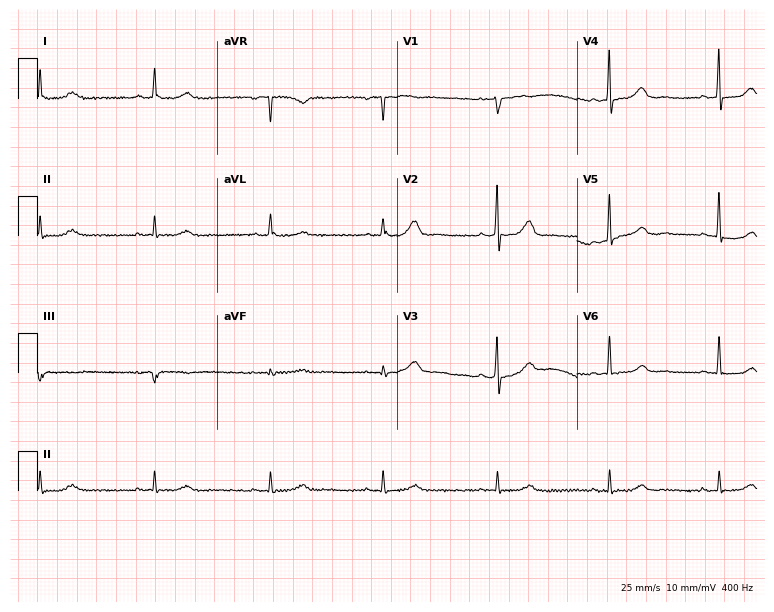
12-lead ECG (7.3-second recording at 400 Hz) from a woman, 62 years old. Labelled as a normal ECG.